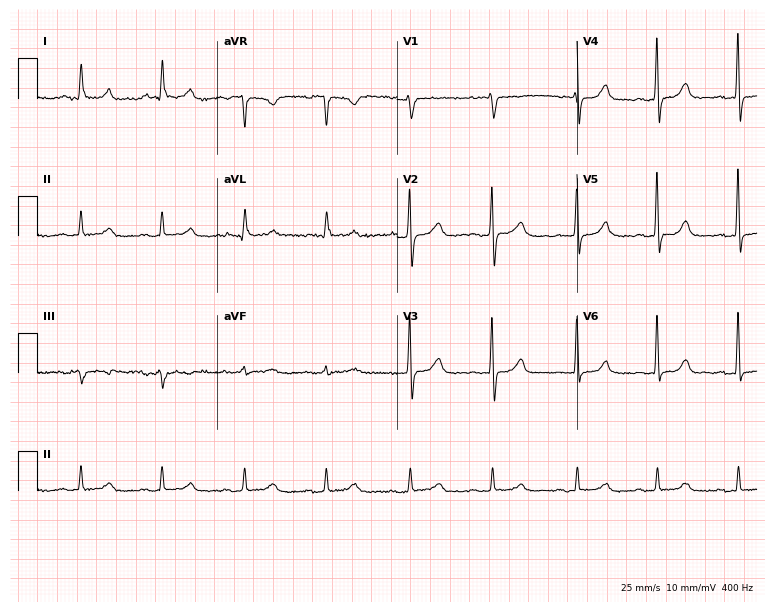
Resting 12-lead electrocardiogram (7.3-second recording at 400 Hz). Patient: a female, 79 years old. Read as a normal ECG.